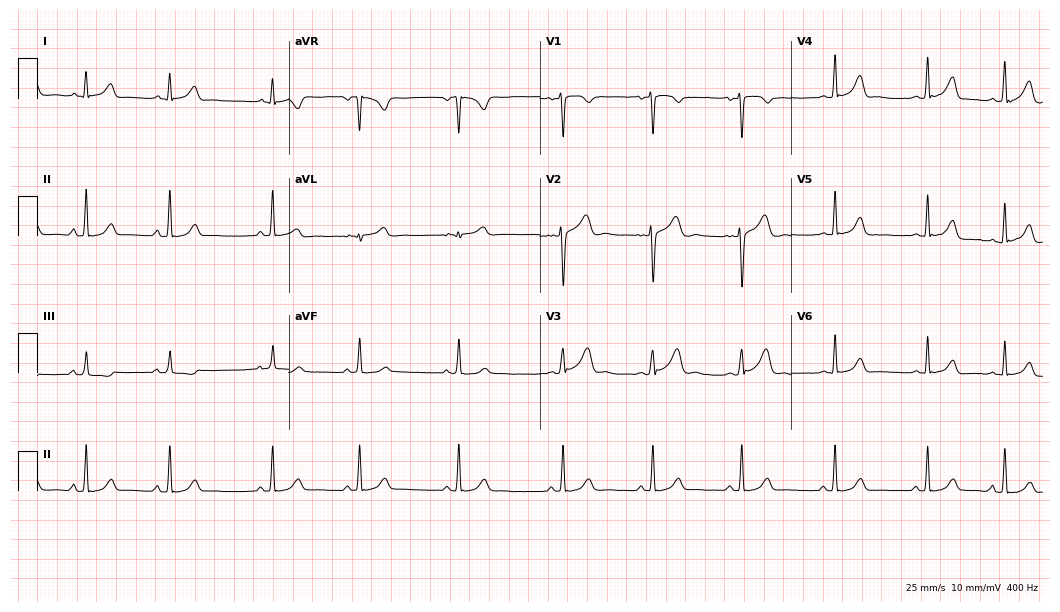
Electrocardiogram, a 22-year-old female patient. Overall reading on record: normal ECG.